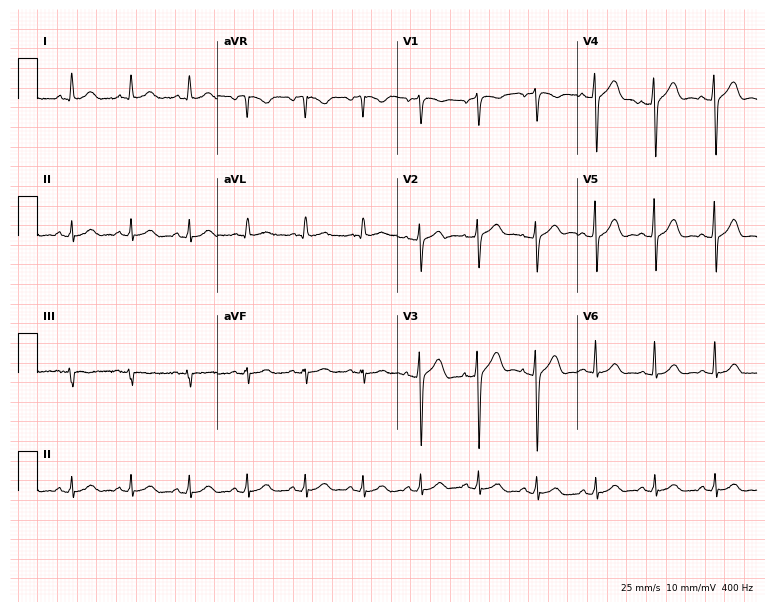
12-lead ECG from a man, 48 years old. Labelled as a normal ECG.